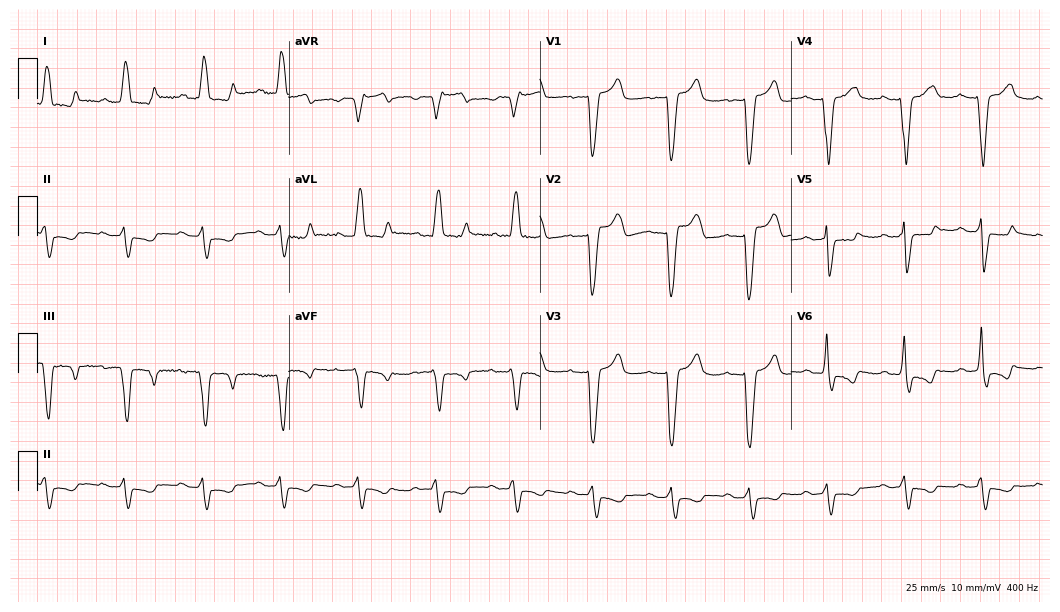
ECG (10.2-second recording at 400 Hz) — a woman, 73 years old. Screened for six findings — first-degree AV block, right bundle branch block, left bundle branch block, sinus bradycardia, atrial fibrillation, sinus tachycardia — none is recorded. Only these six findings were labelled.